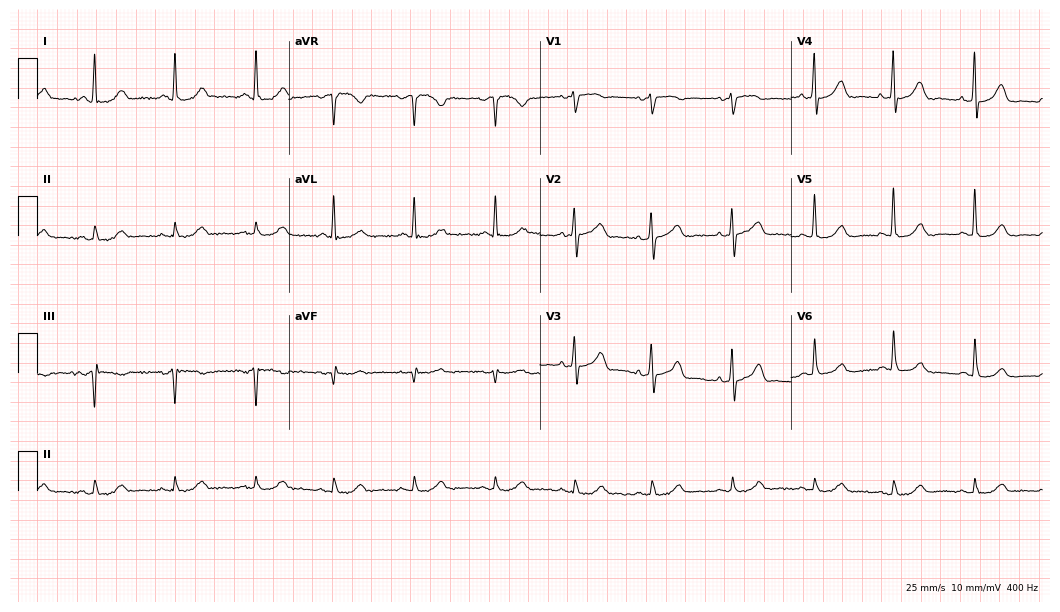
ECG — a 70-year-old female. Labelled as a normal ECG.